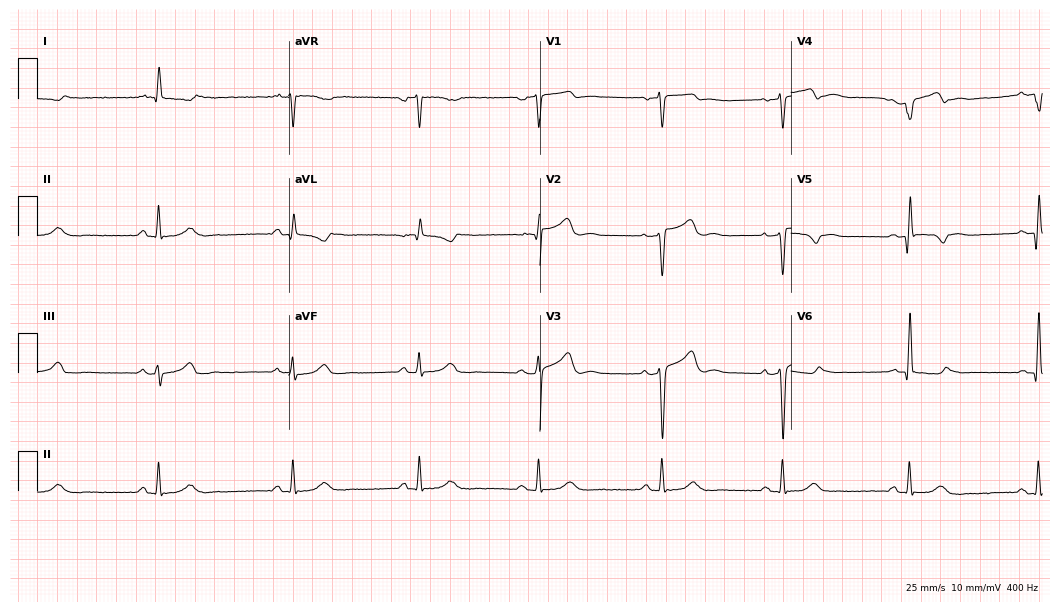
12-lead ECG from a 70-year-old male. Shows sinus bradycardia (a sinus rate of 50 beats per minute or less).